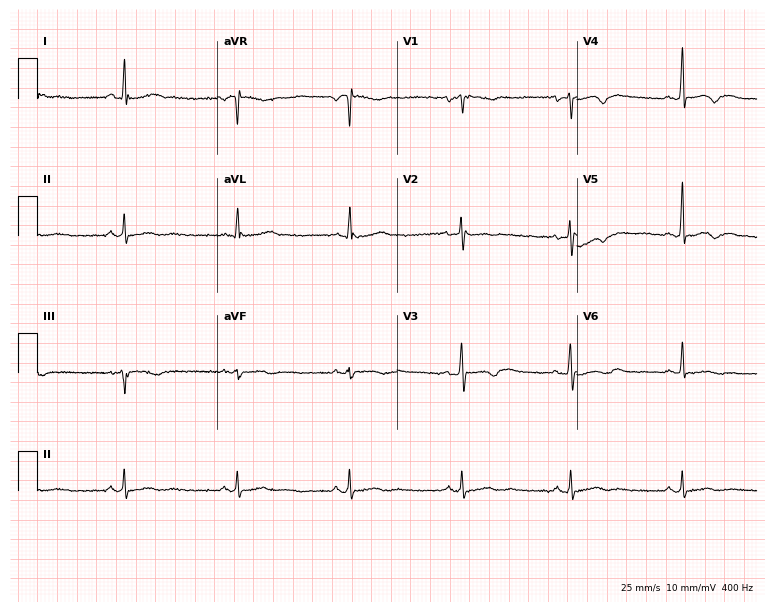
Electrocardiogram, a male patient, 41 years old. Of the six screened findings (first-degree AV block, right bundle branch block, left bundle branch block, sinus bradycardia, atrial fibrillation, sinus tachycardia), none is recorded.